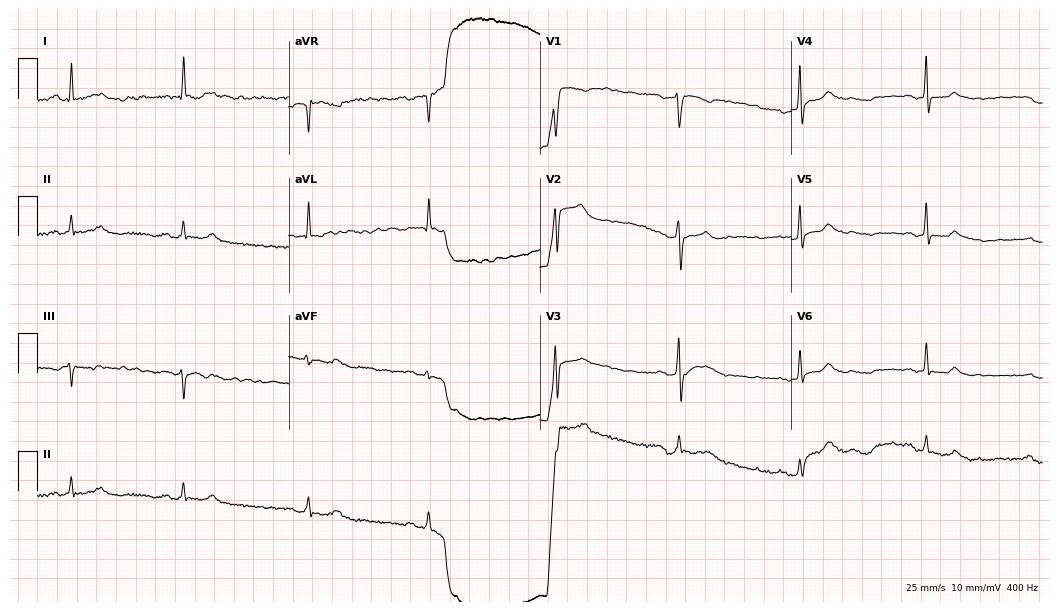
12-lead ECG from a 53-year-old male patient. Screened for six findings — first-degree AV block, right bundle branch block, left bundle branch block, sinus bradycardia, atrial fibrillation, sinus tachycardia — none is recorded. Other findings, if any, are not listed.